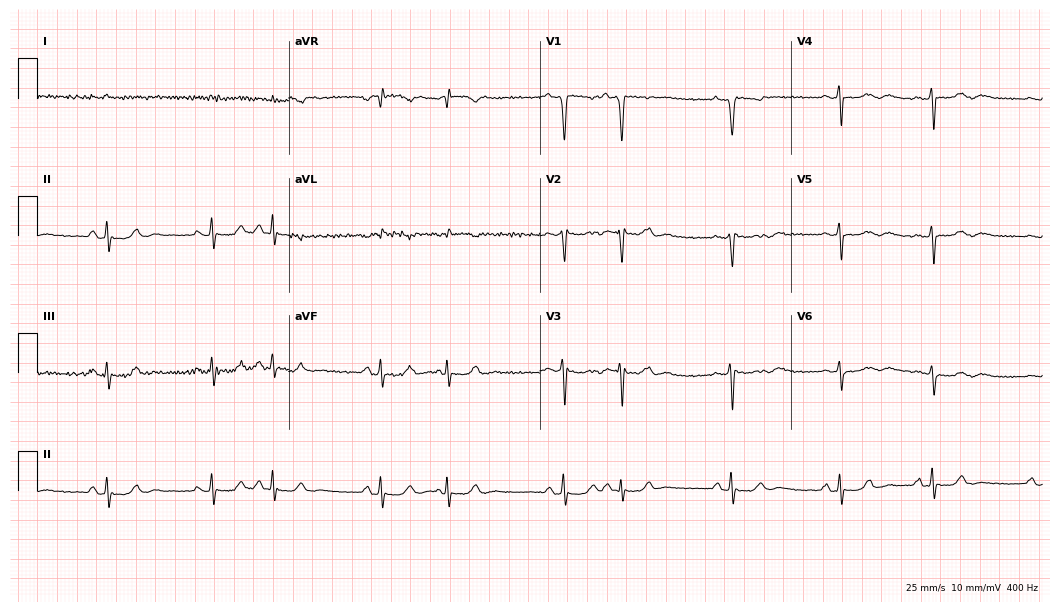
Electrocardiogram (10.2-second recording at 400 Hz), an 83-year-old man. Of the six screened findings (first-degree AV block, right bundle branch block, left bundle branch block, sinus bradycardia, atrial fibrillation, sinus tachycardia), none is recorded.